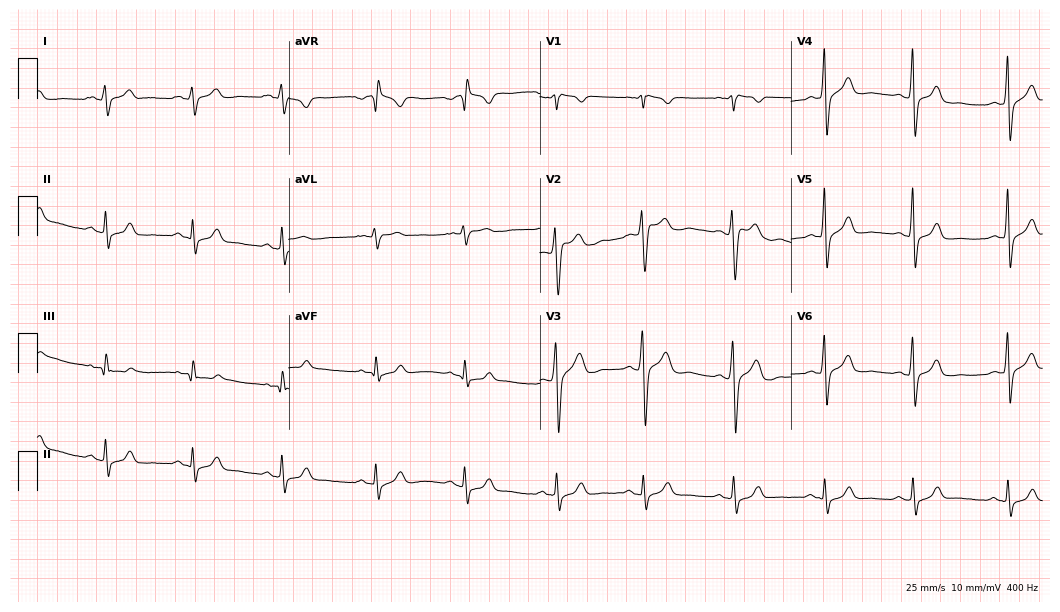
Electrocardiogram (10.2-second recording at 400 Hz), a male, 35 years old. Of the six screened findings (first-degree AV block, right bundle branch block, left bundle branch block, sinus bradycardia, atrial fibrillation, sinus tachycardia), none is recorded. Findings outside these six are not listed.